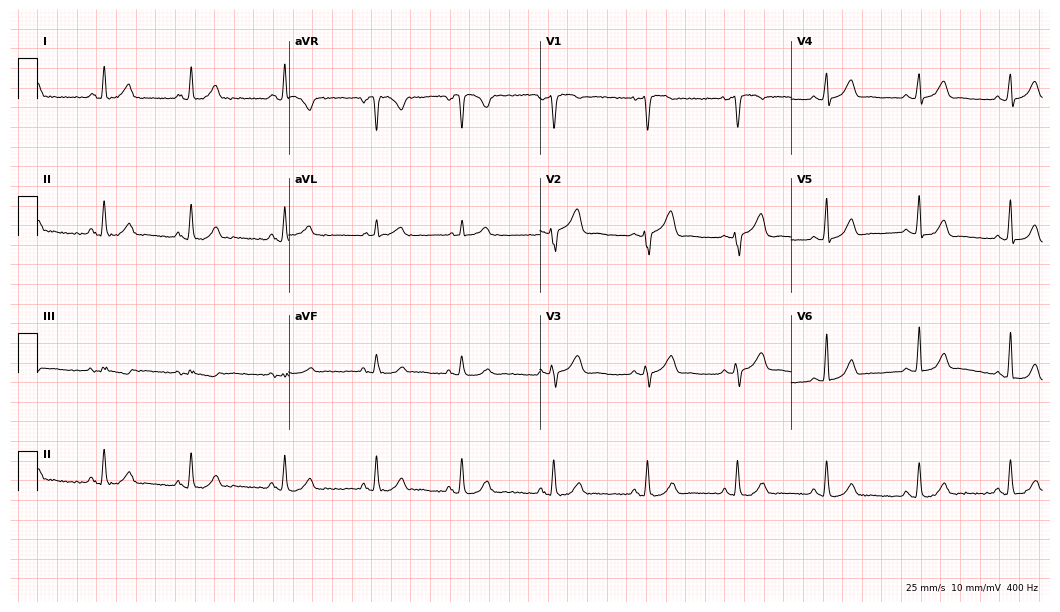
ECG (10.2-second recording at 400 Hz) — a 49-year-old female. Labelled as a normal ECG.